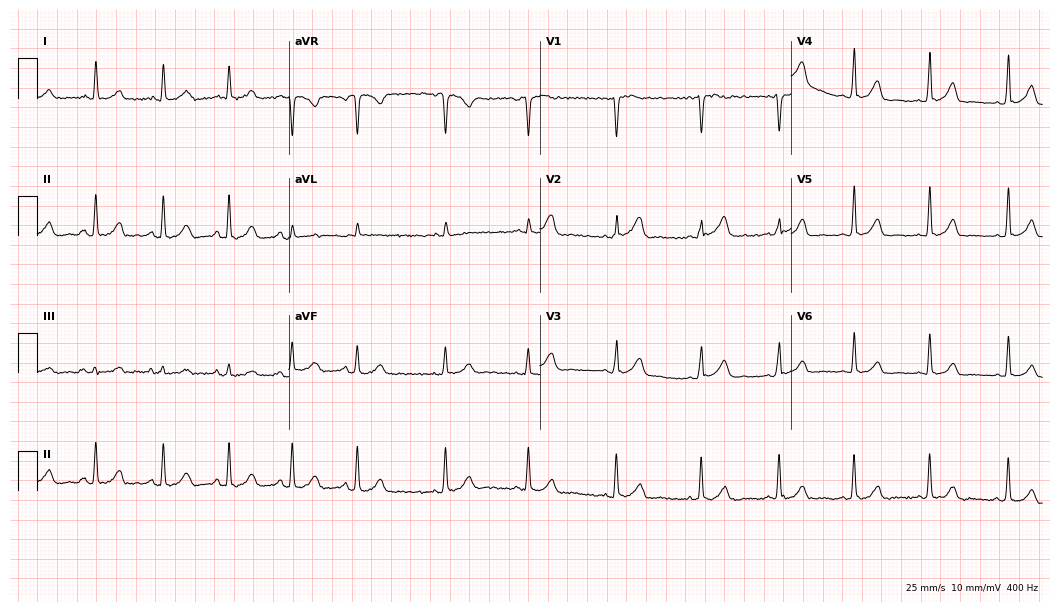
ECG (10.2-second recording at 400 Hz) — a woman, 19 years old. Labelled as a normal ECG.